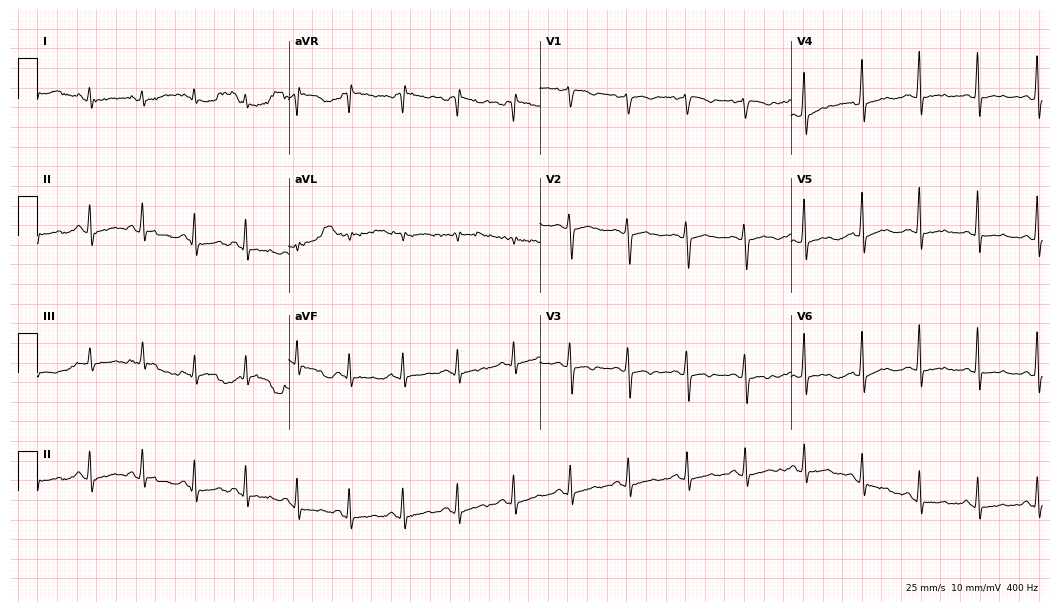
12-lead ECG from a 38-year-old man. Findings include sinus tachycardia (a sinus rate of 100 beats per minute or more).